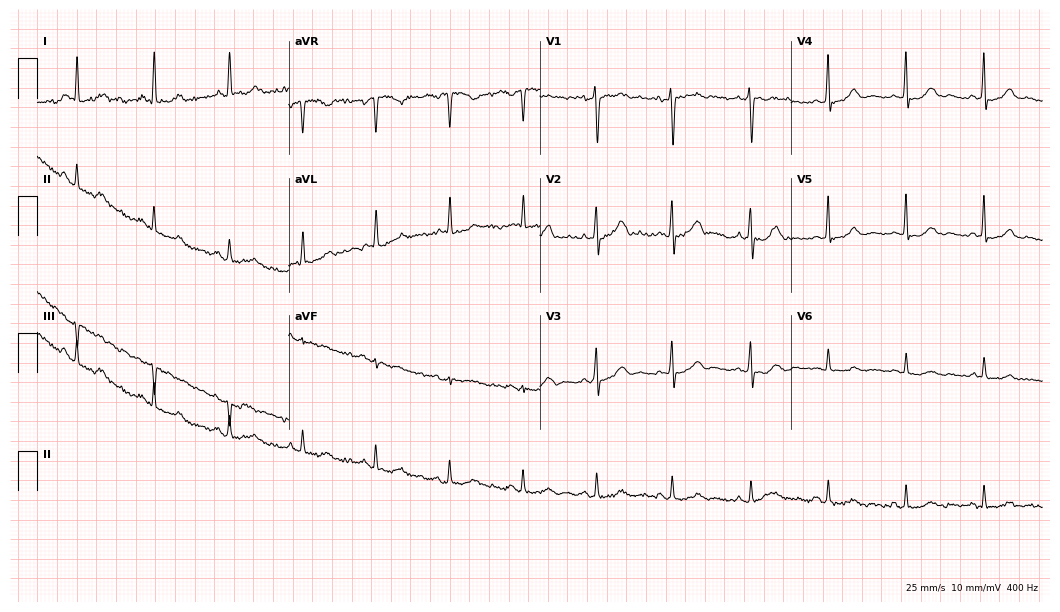
Standard 12-lead ECG recorded from a female, 67 years old. None of these six findings is recorded: first-degree AV block, right bundle branch block (RBBB), left bundle branch block (LBBB), sinus bradycardia, atrial fibrillation (AF), sinus tachycardia. Only these six findings were labelled.